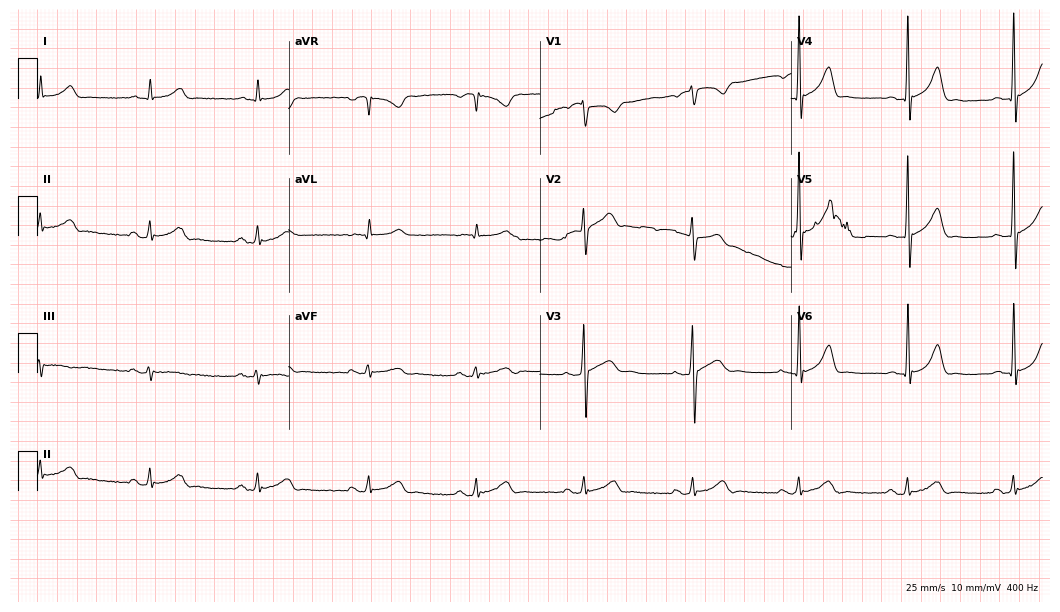
ECG (10.2-second recording at 400 Hz) — a man, 53 years old. Labelled as a normal ECG.